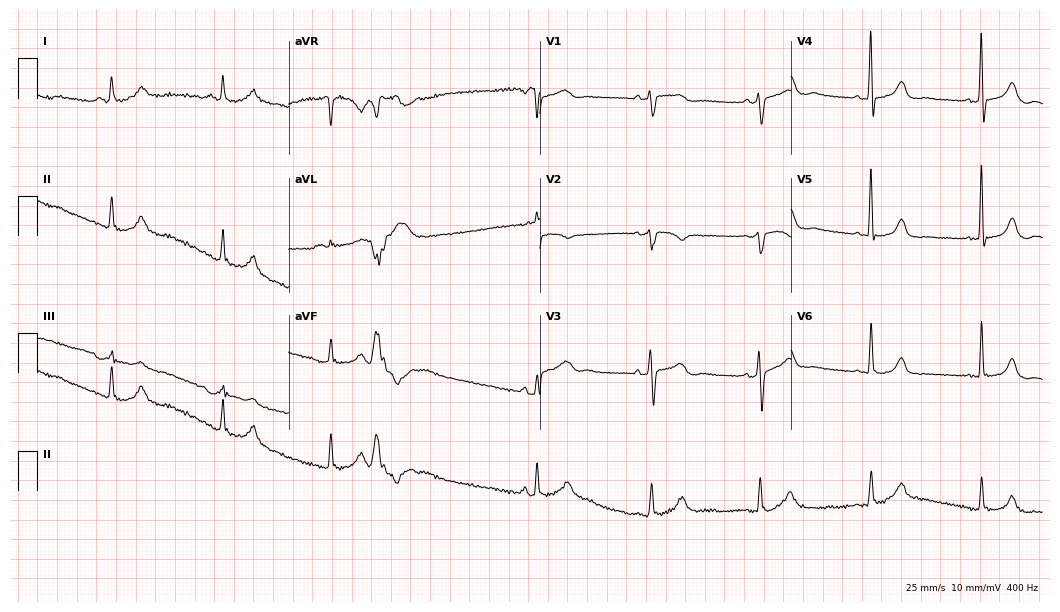
12-lead ECG from a woman, 77 years old (10.2-second recording at 400 Hz). No first-degree AV block, right bundle branch block (RBBB), left bundle branch block (LBBB), sinus bradycardia, atrial fibrillation (AF) or sinus tachycardia recorded for this tracing.